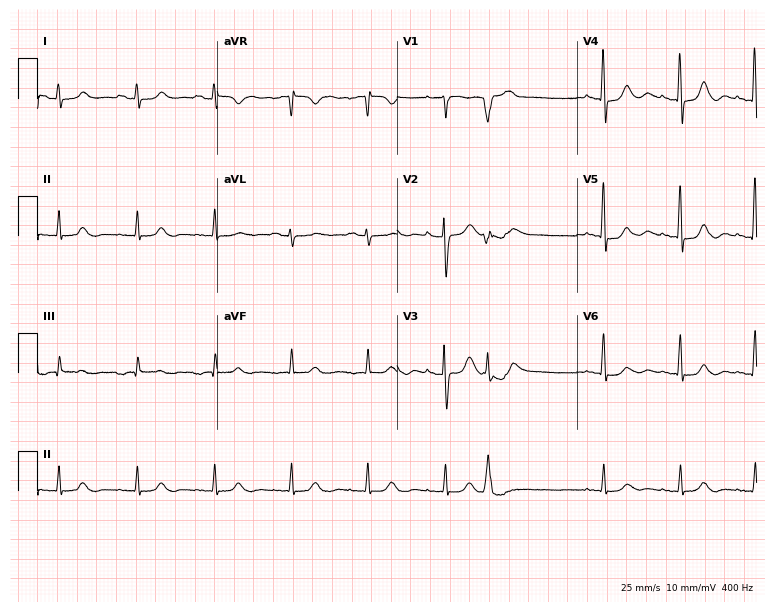
Resting 12-lead electrocardiogram. Patient: a 68-year-old female. None of these six findings is recorded: first-degree AV block, right bundle branch block, left bundle branch block, sinus bradycardia, atrial fibrillation, sinus tachycardia. Findings outside these six are not listed.